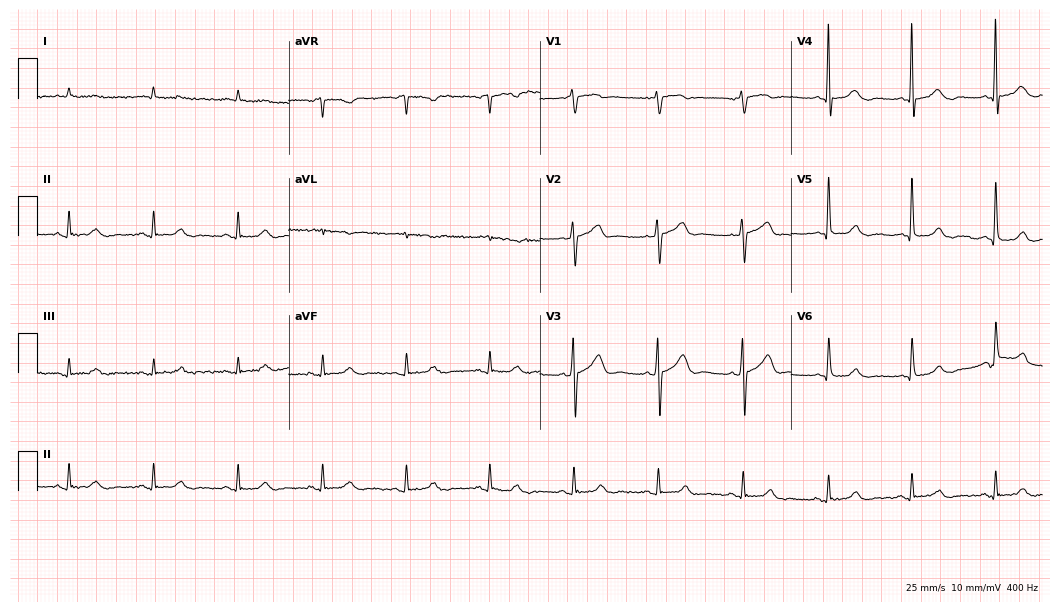
Electrocardiogram (10.2-second recording at 400 Hz), a male, 83 years old. Of the six screened findings (first-degree AV block, right bundle branch block, left bundle branch block, sinus bradycardia, atrial fibrillation, sinus tachycardia), none is recorded. Other findings, if any, are not listed.